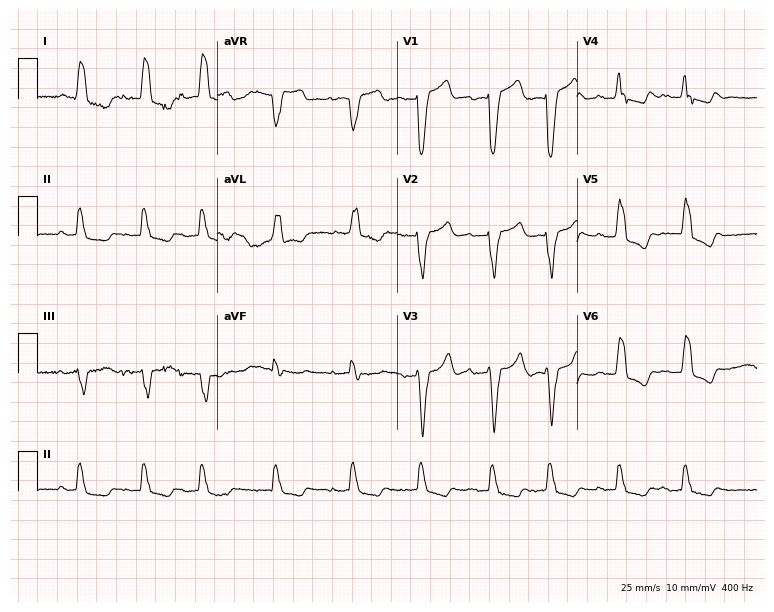
Standard 12-lead ECG recorded from a 78-year-old male patient (7.3-second recording at 400 Hz). The tracing shows left bundle branch block (LBBB), atrial fibrillation (AF).